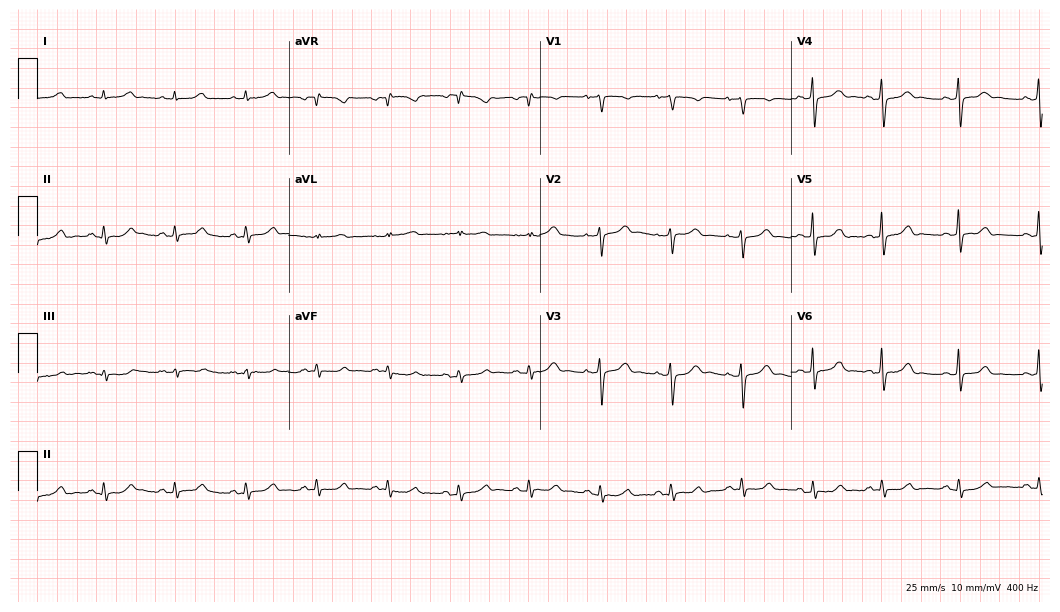
Standard 12-lead ECG recorded from a 55-year-old female patient. None of these six findings is recorded: first-degree AV block, right bundle branch block (RBBB), left bundle branch block (LBBB), sinus bradycardia, atrial fibrillation (AF), sinus tachycardia.